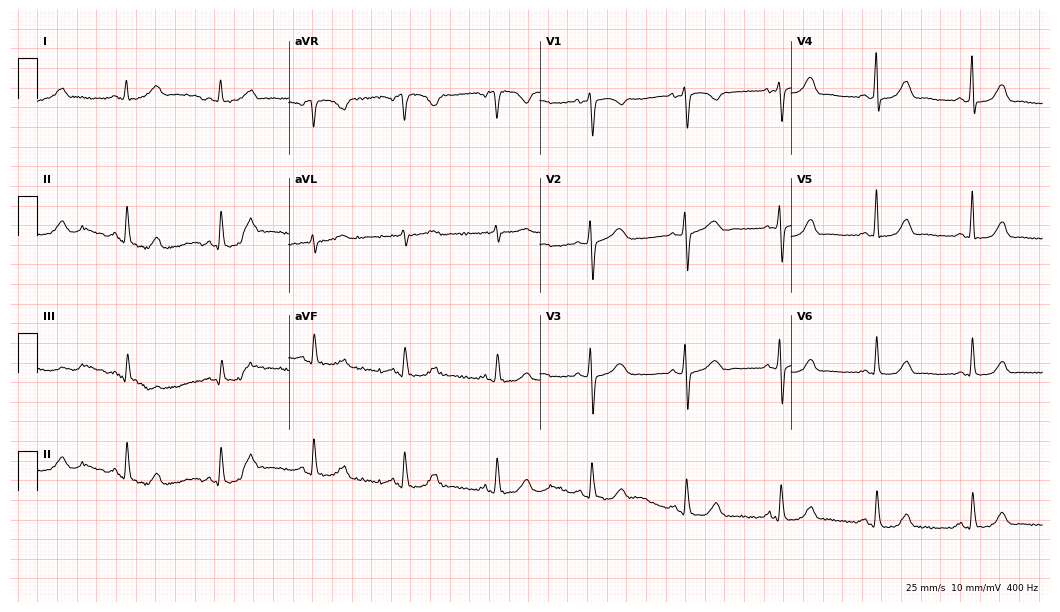
Electrocardiogram (10.2-second recording at 400 Hz), a female patient, 66 years old. Overall reading on record: normal ECG.